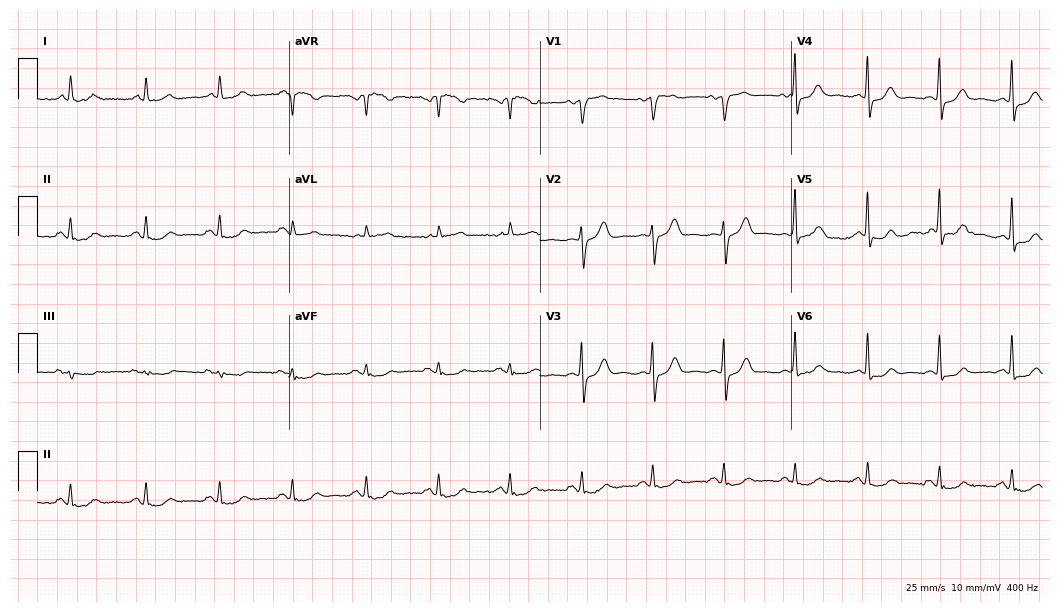
Standard 12-lead ECG recorded from a male patient, 49 years old (10.2-second recording at 400 Hz). None of these six findings is recorded: first-degree AV block, right bundle branch block, left bundle branch block, sinus bradycardia, atrial fibrillation, sinus tachycardia. Only these six findings were labelled.